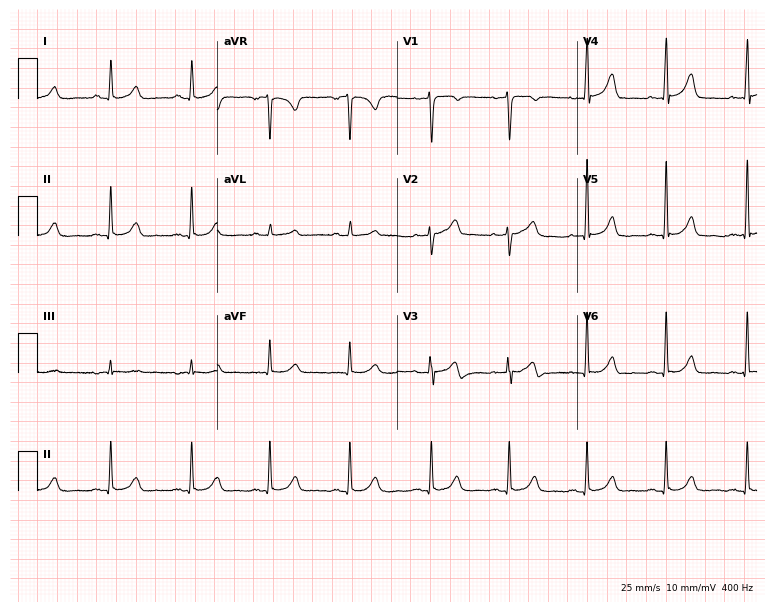
Standard 12-lead ECG recorded from a woman, 43 years old. Read as a normal ECG.